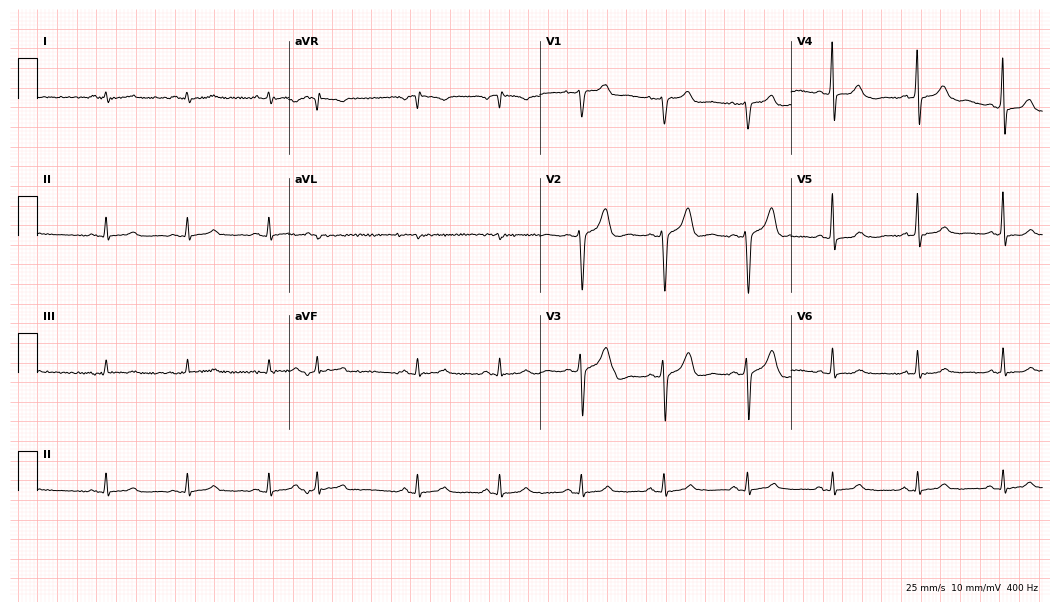
12-lead ECG (10.2-second recording at 400 Hz) from a male patient, 69 years old. Screened for six findings — first-degree AV block, right bundle branch block, left bundle branch block, sinus bradycardia, atrial fibrillation, sinus tachycardia — none is recorded. Only these six findings were labelled.